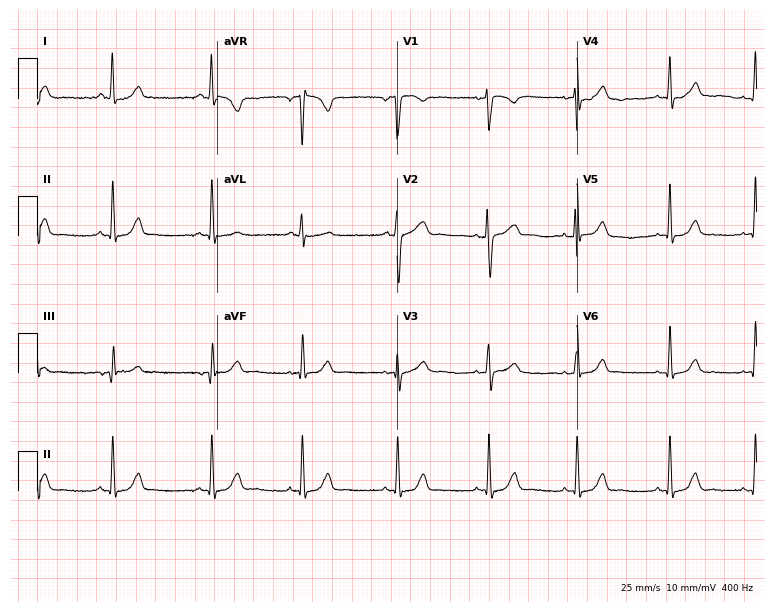
ECG — a 38-year-old female. Labelled as a normal ECG.